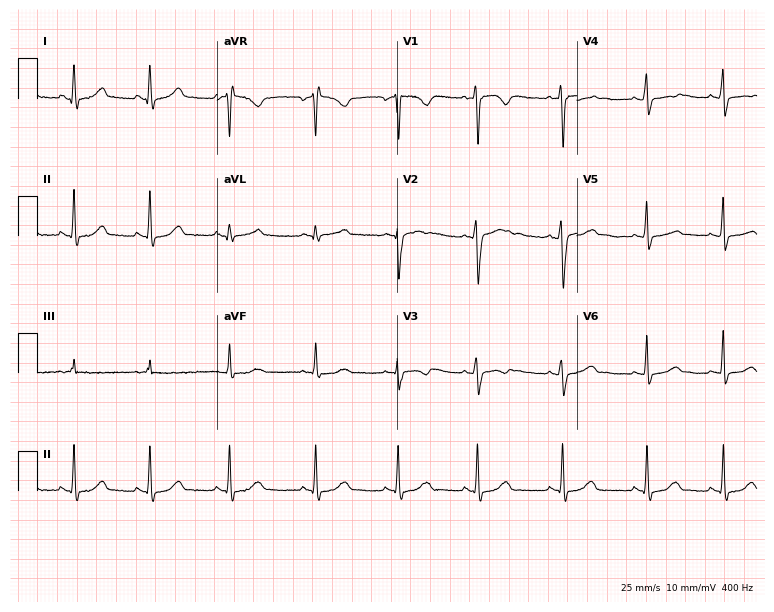
Resting 12-lead electrocardiogram (7.3-second recording at 400 Hz). Patient: a woman, 27 years old. Read as a normal ECG.